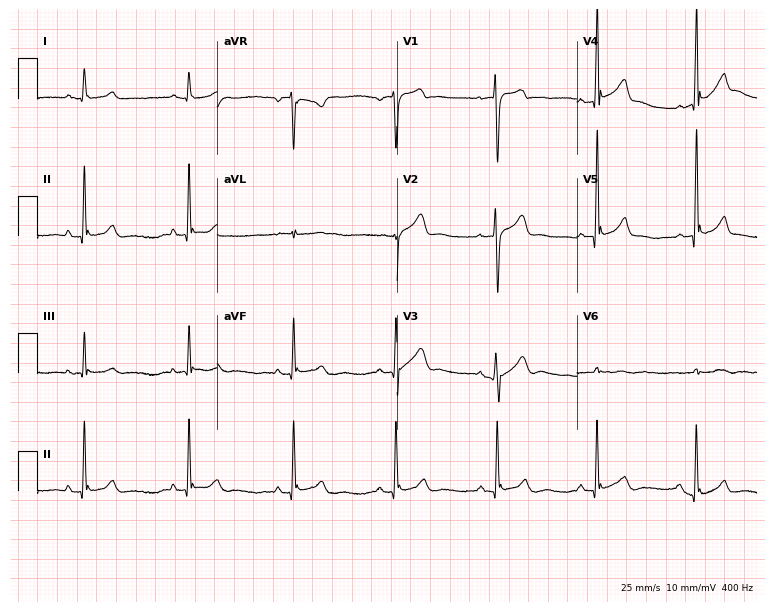
ECG — a 42-year-old male patient. Labelled as a normal ECG.